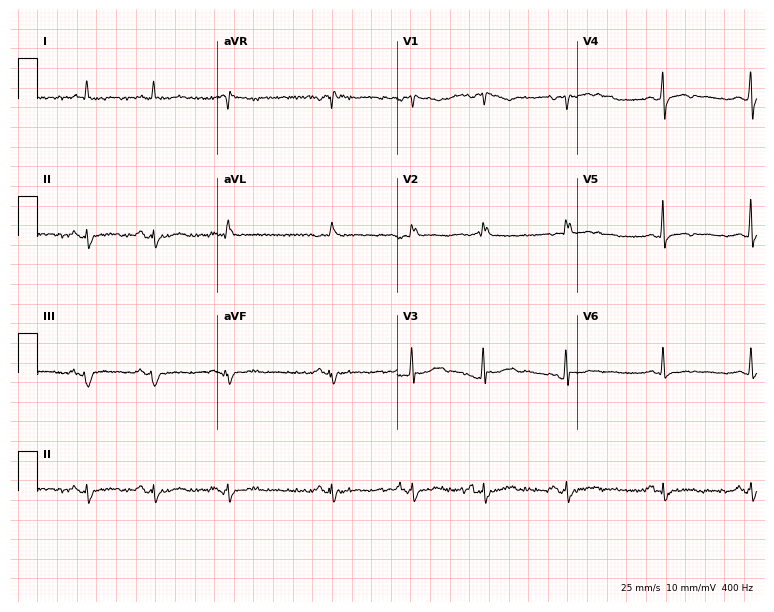
12-lead ECG (7.3-second recording at 400 Hz) from a female, 26 years old. Screened for six findings — first-degree AV block, right bundle branch block, left bundle branch block, sinus bradycardia, atrial fibrillation, sinus tachycardia — none is recorded.